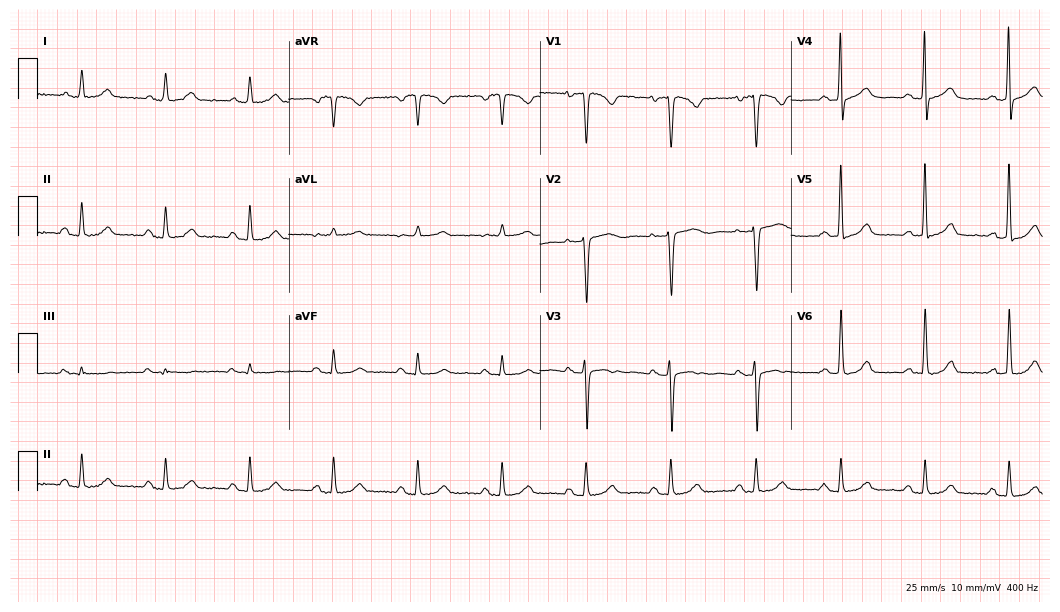
ECG — a 70-year-old female. Screened for six findings — first-degree AV block, right bundle branch block, left bundle branch block, sinus bradycardia, atrial fibrillation, sinus tachycardia — none is recorded. Findings outside these six are not listed.